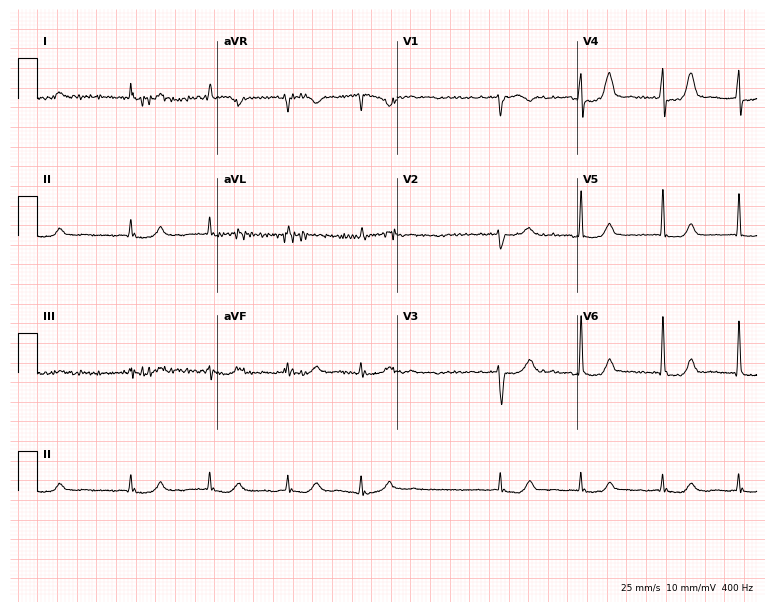
Electrocardiogram (7.3-second recording at 400 Hz), an 85-year-old male patient. Interpretation includes atrial fibrillation.